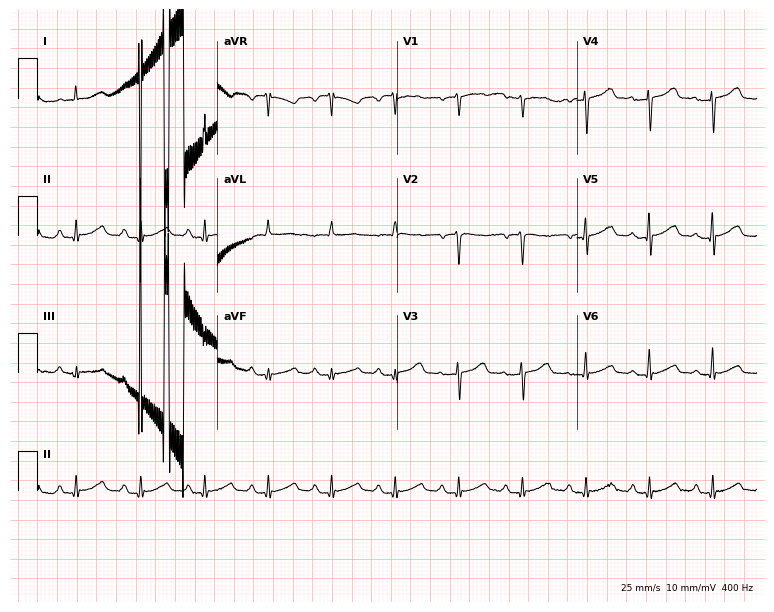
ECG (7.3-second recording at 400 Hz) — a 55-year-old female patient. Labelled as a normal ECG.